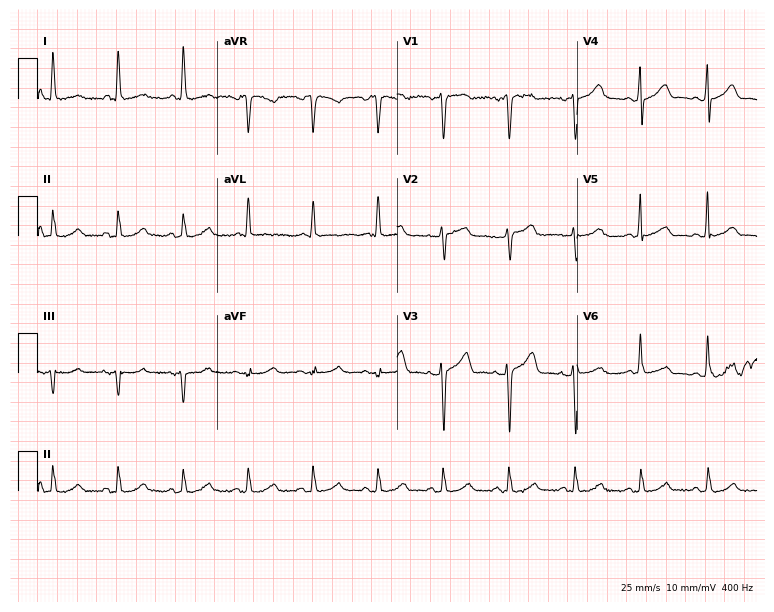
12-lead ECG from a 66-year-old female (7.3-second recording at 400 Hz). No first-degree AV block, right bundle branch block, left bundle branch block, sinus bradycardia, atrial fibrillation or sinus tachycardia recorded for this tracing.